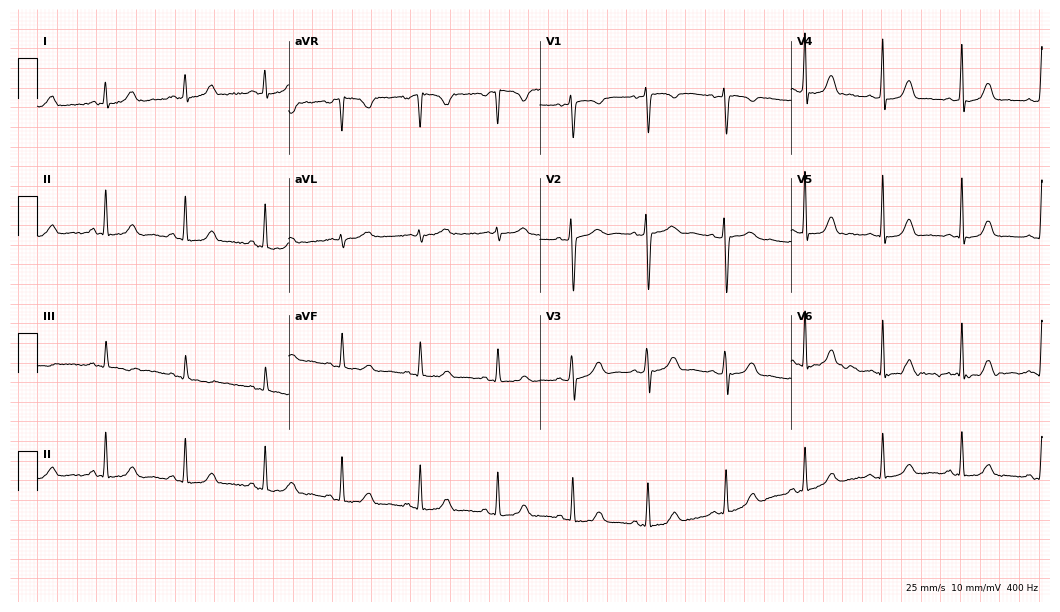
ECG (10.2-second recording at 400 Hz) — a woman, 27 years old. Labelled as a normal ECG.